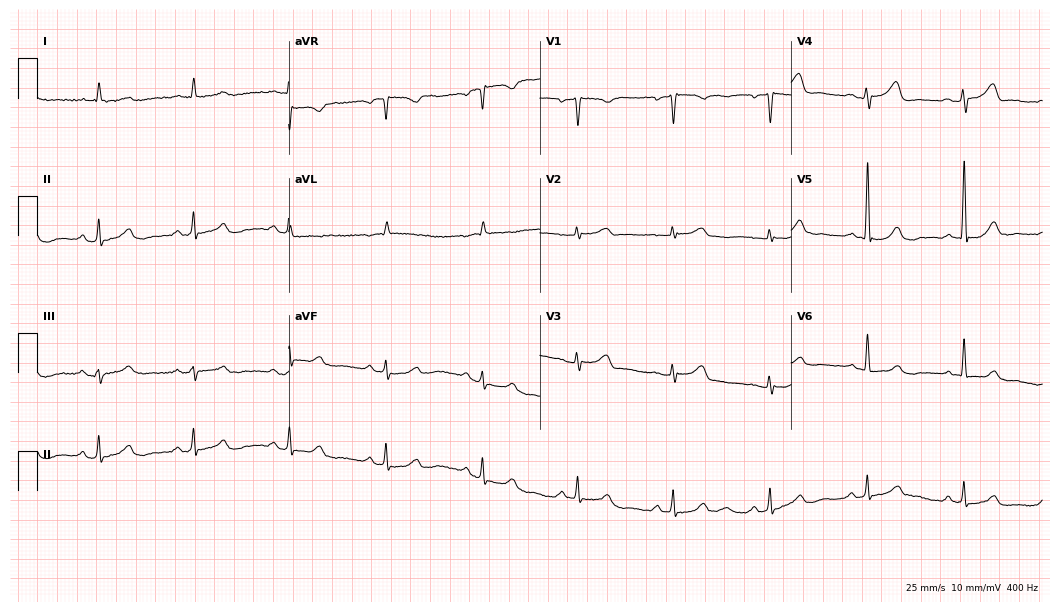
Standard 12-lead ECG recorded from a female patient, 71 years old. Read as a normal ECG.